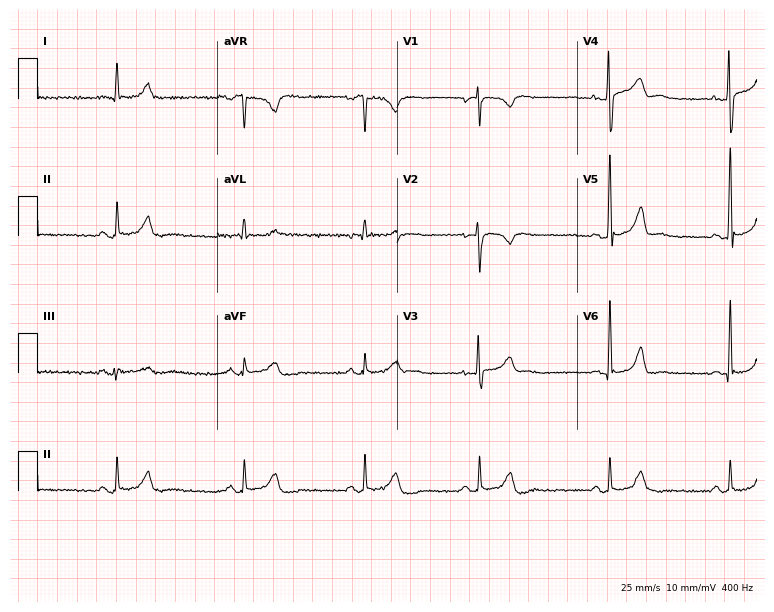
Electrocardiogram (7.3-second recording at 400 Hz), a female, 40 years old. Interpretation includes sinus bradycardia (a sinus rate of 50 beats per minute or less).